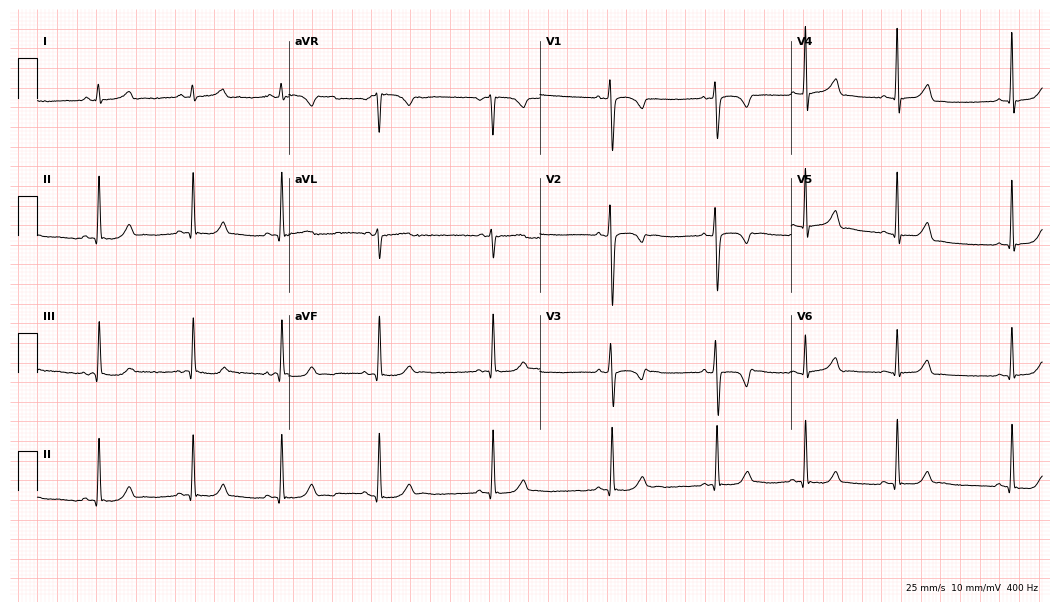
12-lead ECG from a 21-year-old woman. Screened for six findings — first-degree AV block, right bundle branch block, left bundle branch block, sinus bradycardia, atrial fibrillation, sinus tachycardia — none is recorded. Findings outside these six are not listed.